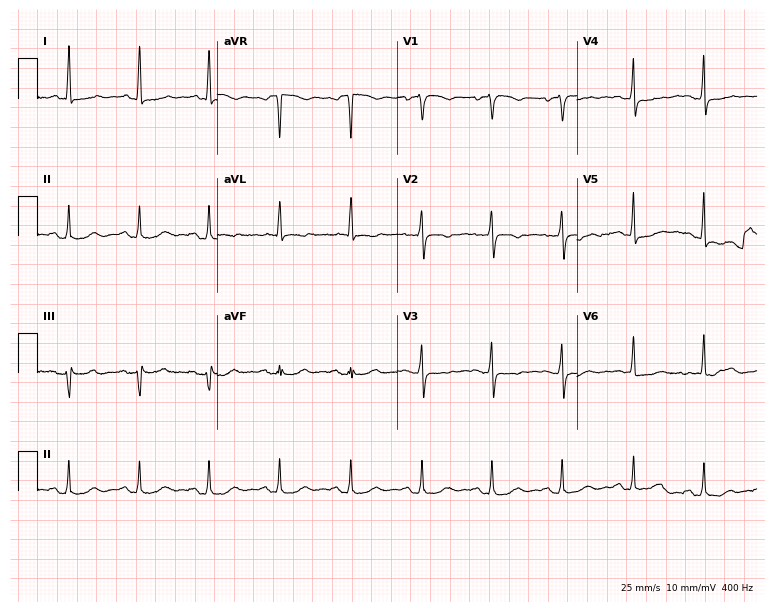
12-lead ECG (7.3-second recording at 400 Hz) from a 66-year-old female. Labelled as a normal ECG.